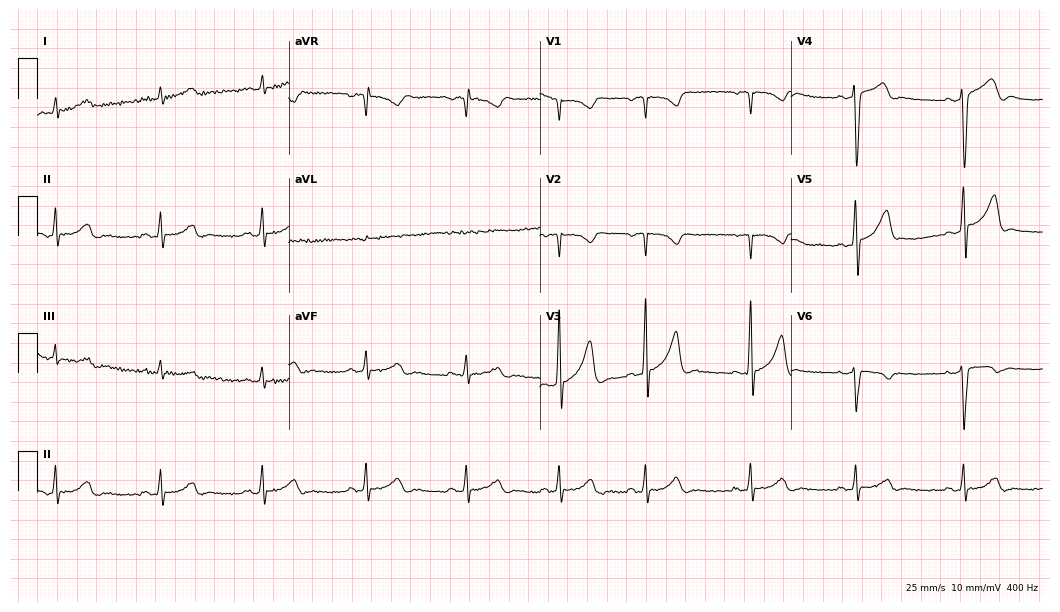
Standard 12-lead ECG recorded from a male patient, 39 years old (10.2-second recording at 400 Hz). None of these six findings is recorded: first-degree AV block, right bundle branch block, left bundle branch block, sinus bradycardia, atrial fibrillation, sinus tachycardia.